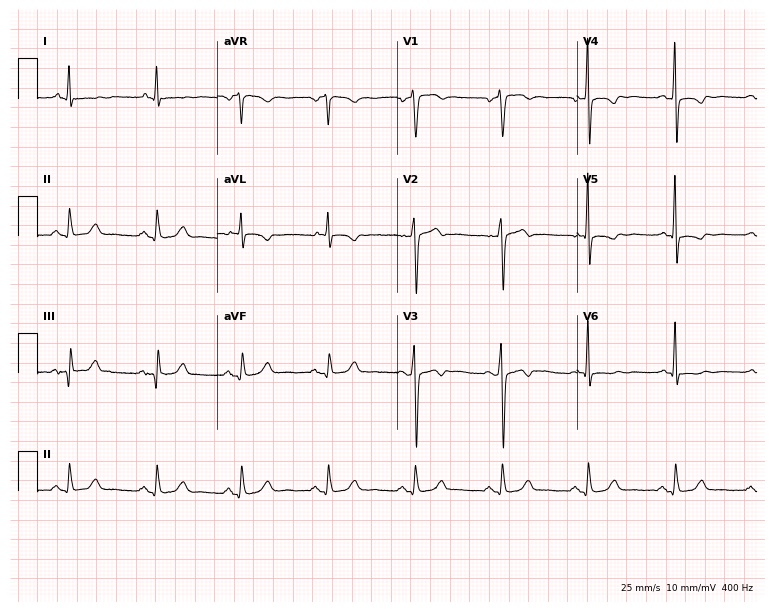
ECG (7.3-second recording at 400 Hz) — a 59-year-old male. Screened for six findings — first-degree AV block, right bundle branch block (RBBB), left bundle branch block (LBBB), sinus bradycardia, atrial fibrillation (AF), sinus tachycardia — none is recorded. Other findings, if any, are not listed.